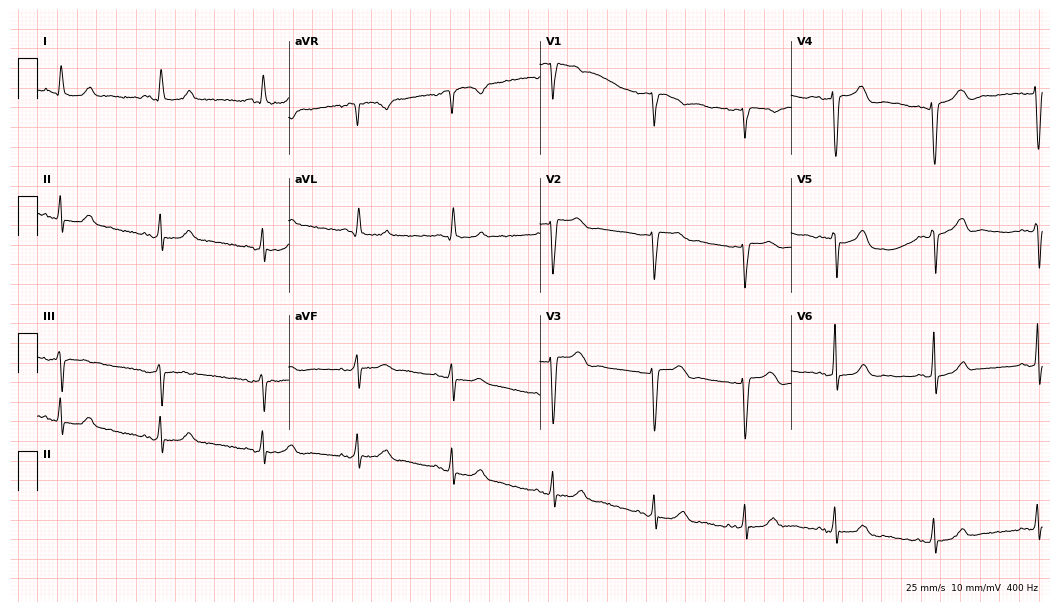
Resting 12-lead electrocardiogram. Patient: a 58-year-old woman. None of these six findings is recorded: first-degree AV block, right bundle branch block (RBBB), left bundle branch block (LBBB), sinus bradycardia, atrial fibrillation (AF), sinus tachycardia. Other findings, if any, are not listed.